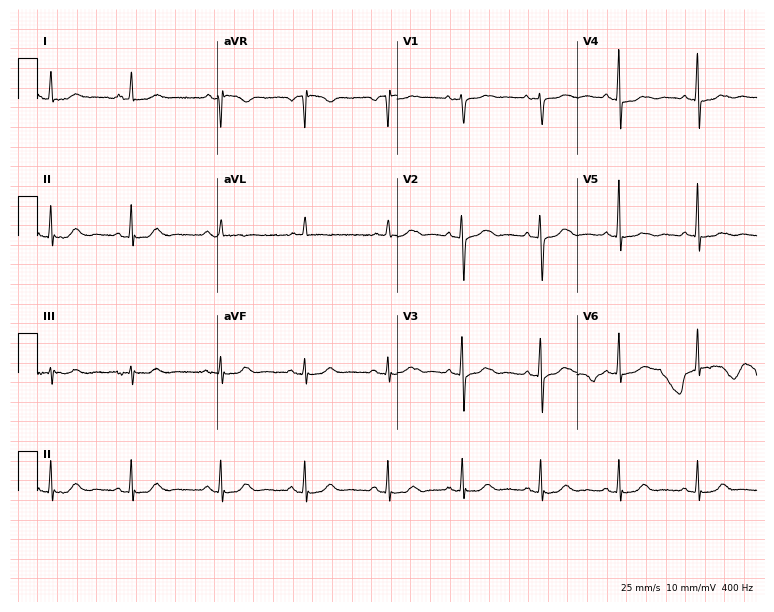
Electrocardiogram, a female patient, 60 years old. Overall reading on record: normal ECG.